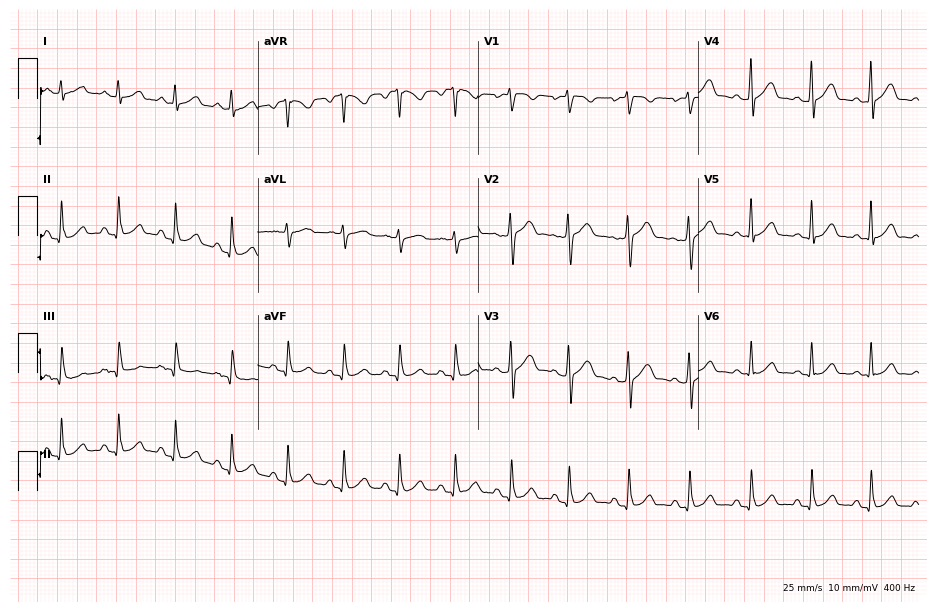
Resting 12-lead electrocardiogram (9-second recording at 400 Hz). Patient: a 41-year-old female. The tracing shows sinus tachycardia (a sinus rate of 100 beats per minute or more).